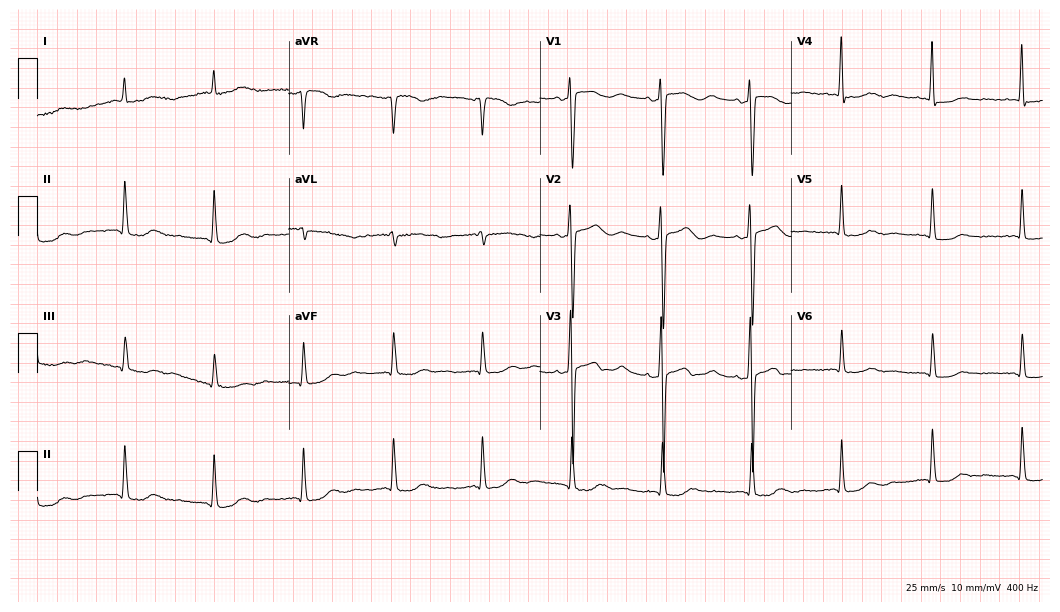
Resting 12-lead electrocardiogram (10.2-second recording at 400 Hz). Patient: a female, 37 years old. None of these six findings is recorded: first-degree AV block, right bundle branch block (RBBB), left bundle branch block (LBBB), sinus bradycardia, atrial fibrillation (AF), sinus tachycardia.